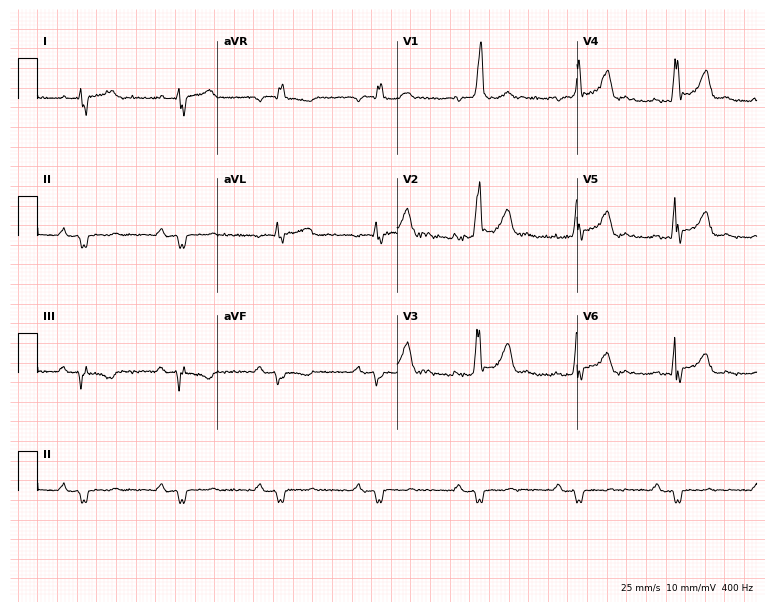
Standard 12-lead ECG recorded from a male, 81 years old (7.3-second recording at 400 Hz). The tracing shows right bundle branch block (RBBB).